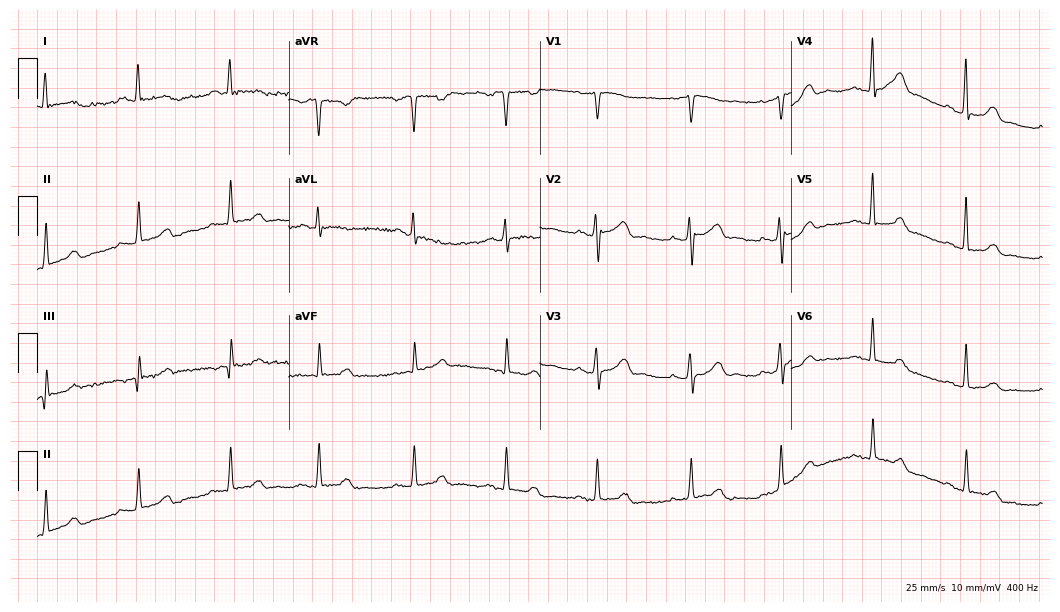
Electrocardiogram (10.2-second recording at 400 Hz), a 67-year-old female patient. Overall reading on record: normal ECG.